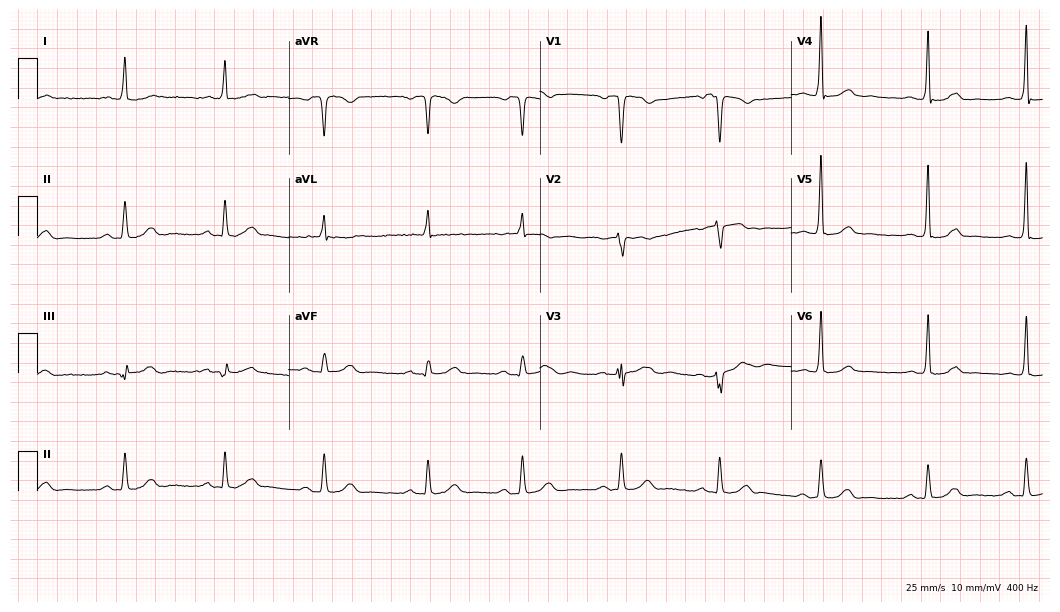
12-lead ECG (10.2-second recording at 400 Hz) from an 80-year-old male. Screened for six findings — first-degree AV block, right bundle branch block, left bundle branch block, sinus bradycardia, atrial fibrillation, sinus tachycardia — none is recorded. Findings outside these six are not listed.